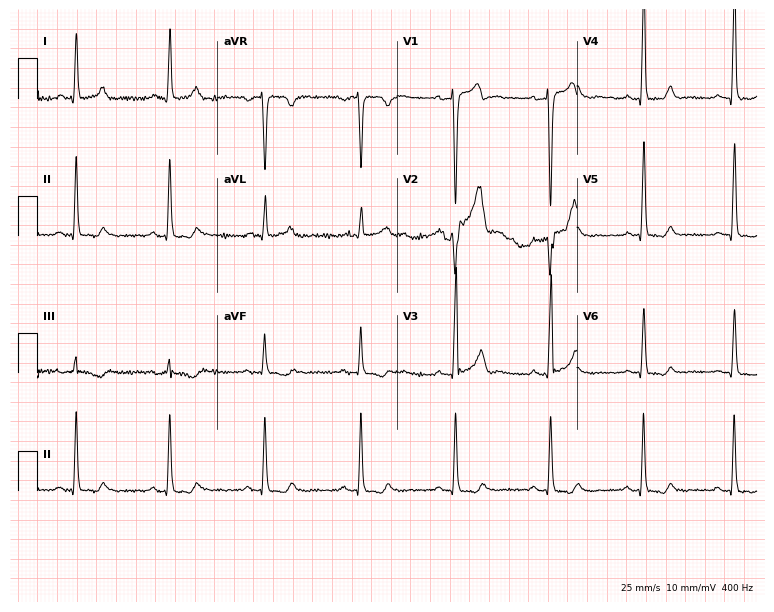
Electrocardiogram, a 46-year-old male. Of the six screened findings (first-degree AV block, right bundle branch block (RBBB), left bundle branch block (LBBB), sinus bradycardia, atrial fibrillation (AF), sinus tachycardia), none is recorded. Only these six findings were labelled.